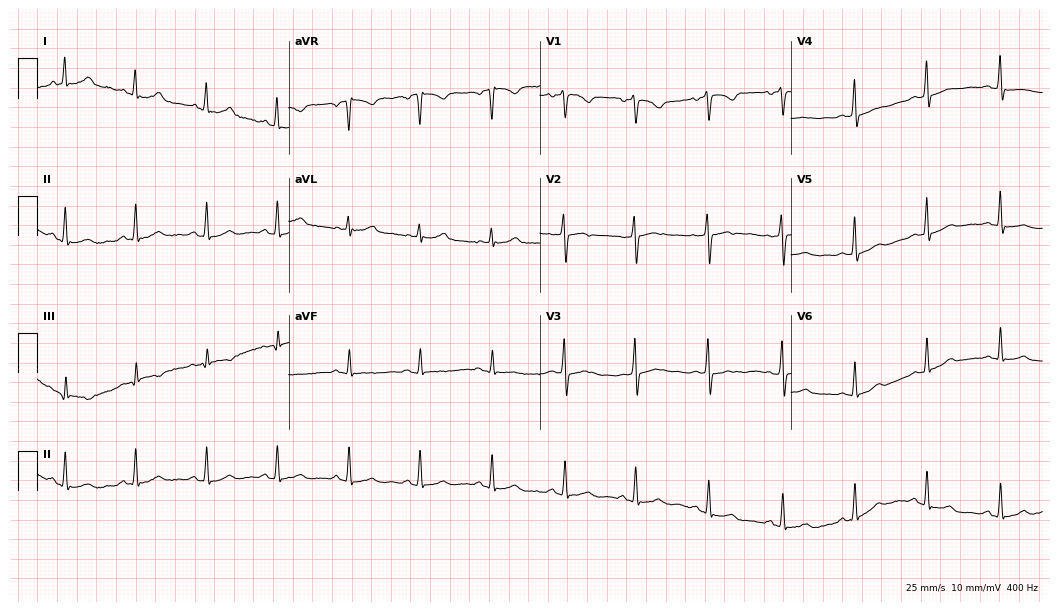
ECG — a woman, 34 years old. Screened for six findings — first-degree AV block, right bundle branch block, left bundle branch block, sinus bradycardia, atrial fibrillation, sinus tachycardia — none is recorded. Only these six findings were labelled.